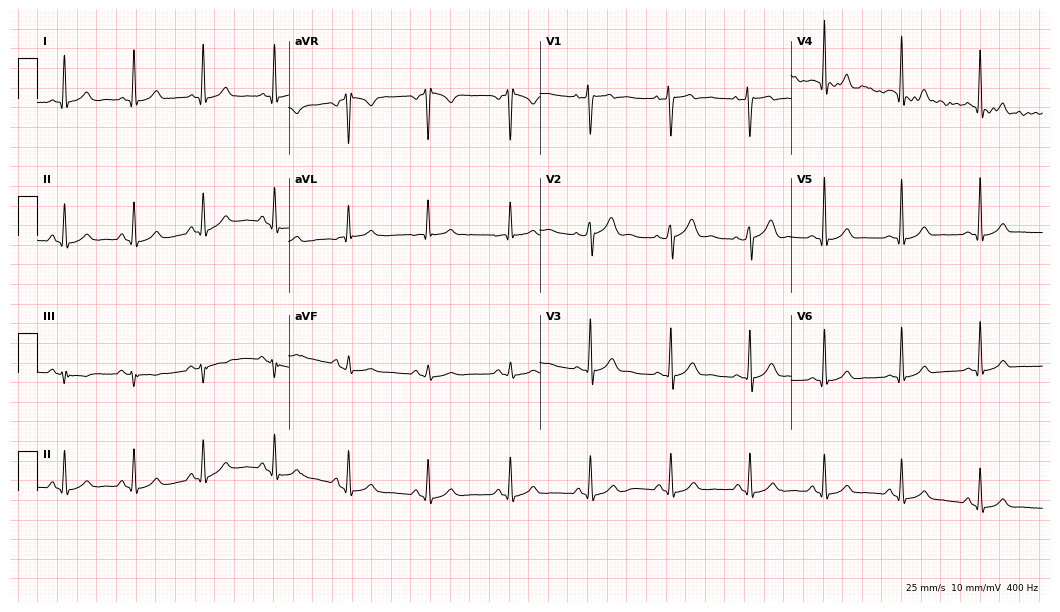
Resting 12-lead electrocardiogram. Patient: a female, 40 years old. Read as a normal ECG.